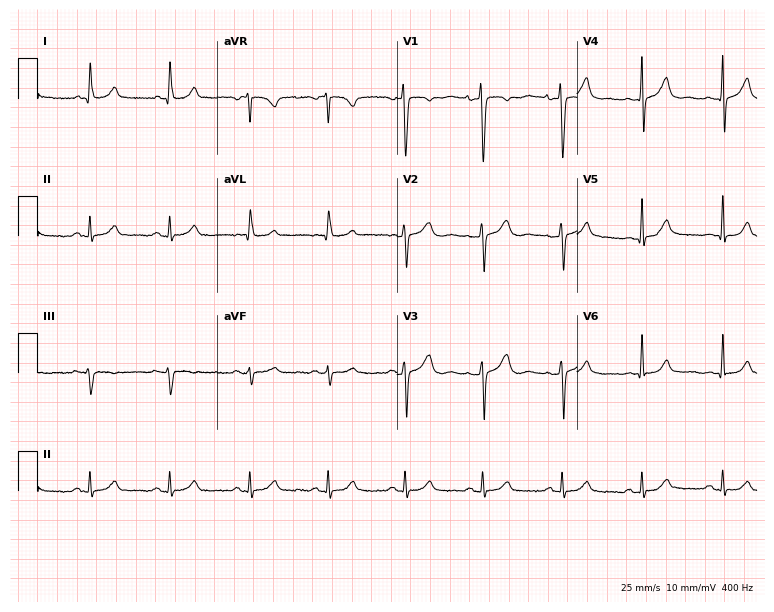
Standard 12-lead ECG recorded from a female, 47 years old (7.3-second recording at 400 Hz). Read as a normal ECG.